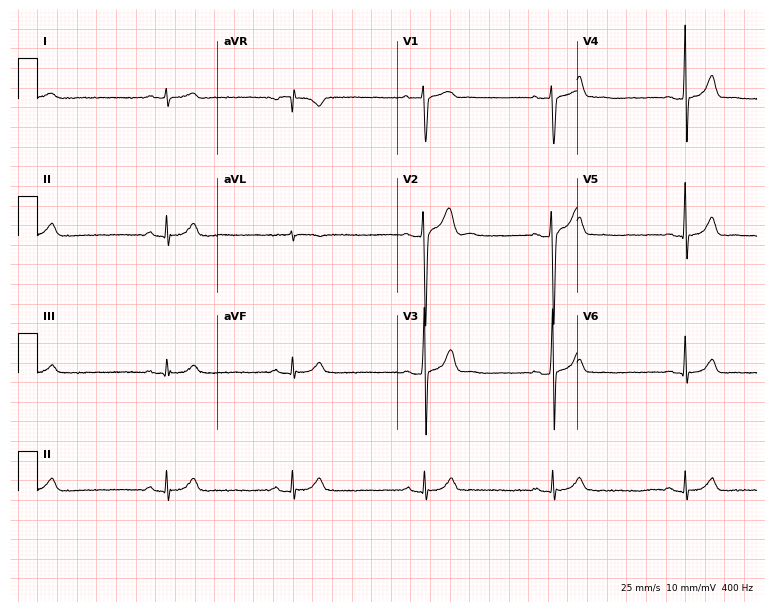
Resting 12-lead electrocardiogram. Patient: a 17-year-old woman. None of these six findings is recorded: first-degree AV block, right bundle branch block, left bundle branch block, sinus bradycardia, atrial fibrillation, sinus tachycardia. Only these six findings were labelled.